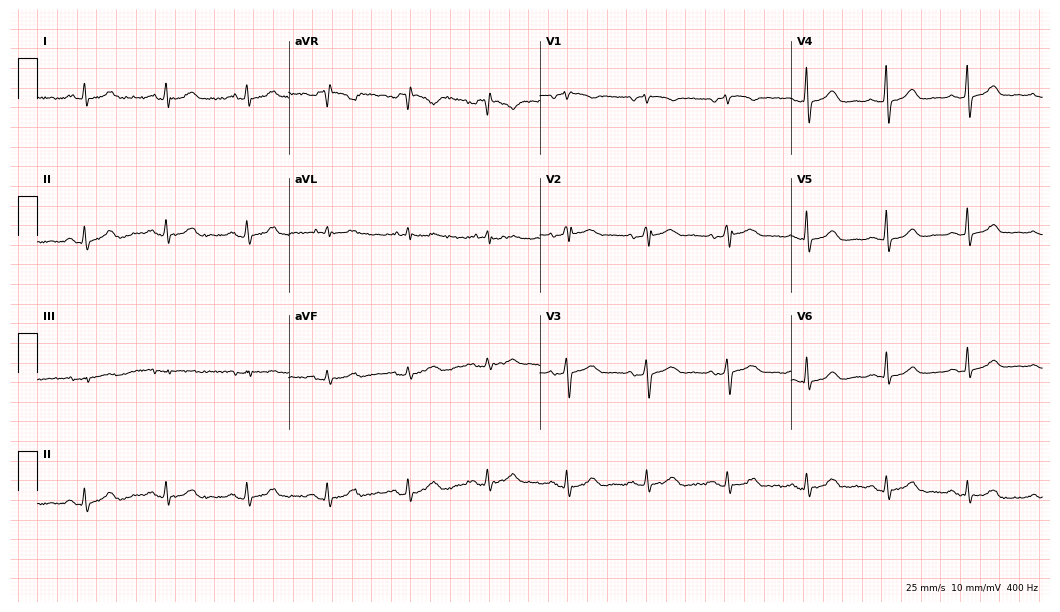
Standard 12-lead ECG recorded from a 78-year-old woman. None of these six findings is recorded: first-degree AV block, right bundle branch block (RBBB), left bundle branch block (LBBB), sinus bradycardia, atrial fibrillation (AF), sinus tachycardia. Other findings, if any, are not listed.